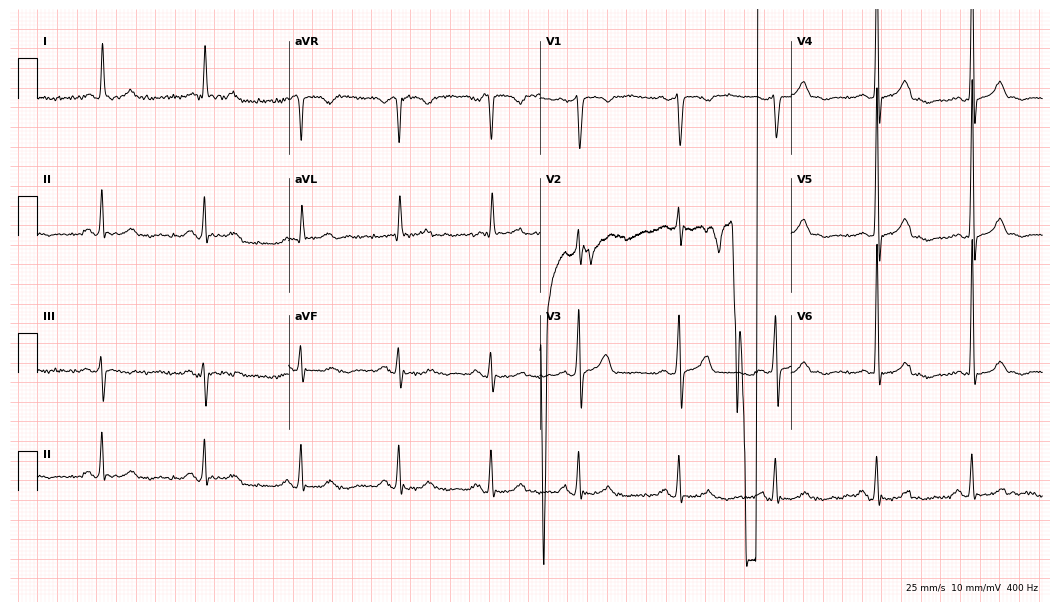
Resting 12-lead electrocardiogram (10.2-second recording at 400 Hz). Patient: a 73-year-old woman. None of these six findings is recorded: first-degree AV block, right bundle branch block (RBBB), left bundle branch block (LBBB), sinus bradycardia, atrial fibrillation (AF), sinus tachycardia.